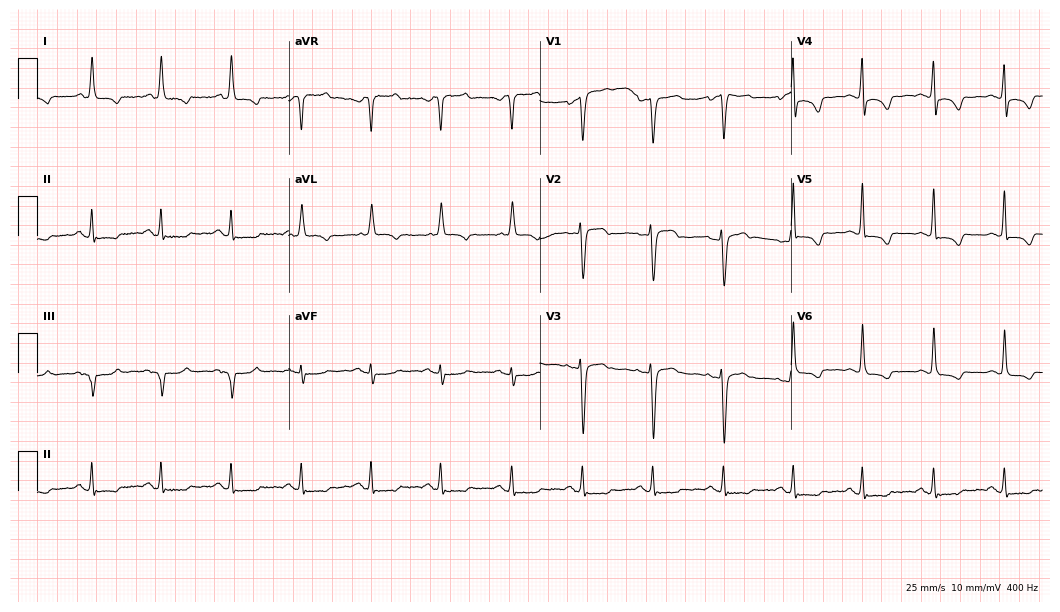
Standard 12-lead ECG recorded from a 68-year-old female patient. None of these six findings is recorded: first-degree AV block, right bundle branch block, left bundle branch block, sinus bradycardia, atrial fibrillation, sinus tachycardia. Other findings, if any, are not listed.